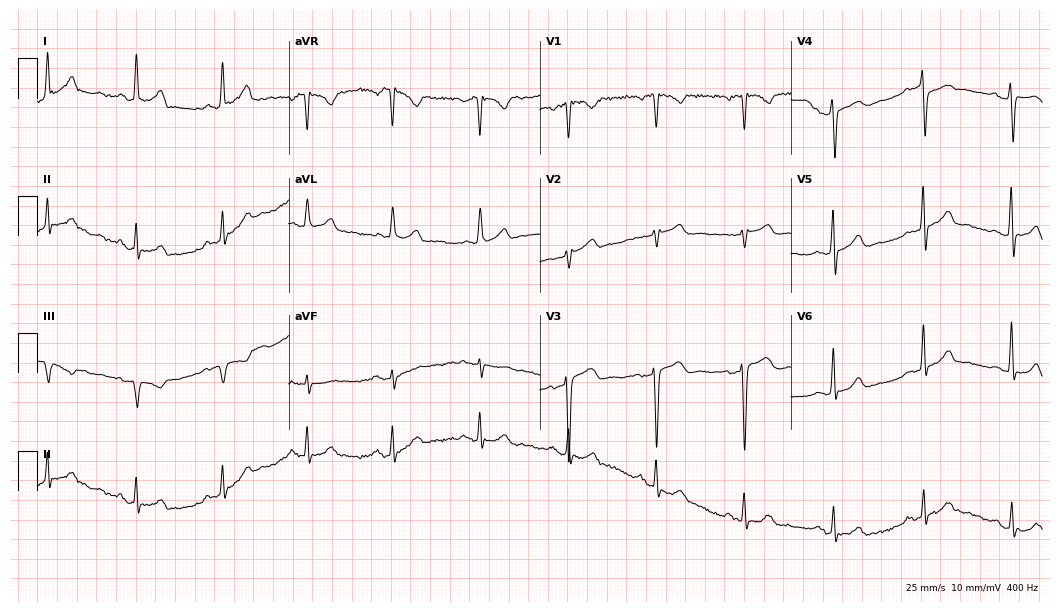
12-lead ECG from a man, 56 years old. No first-degree AV block, right bundle branch block, left bundle branch block, sinus bradycardia, atrial fibrillation or sinus tachycardia recorded for this tracing. Only these six findings were labelled.